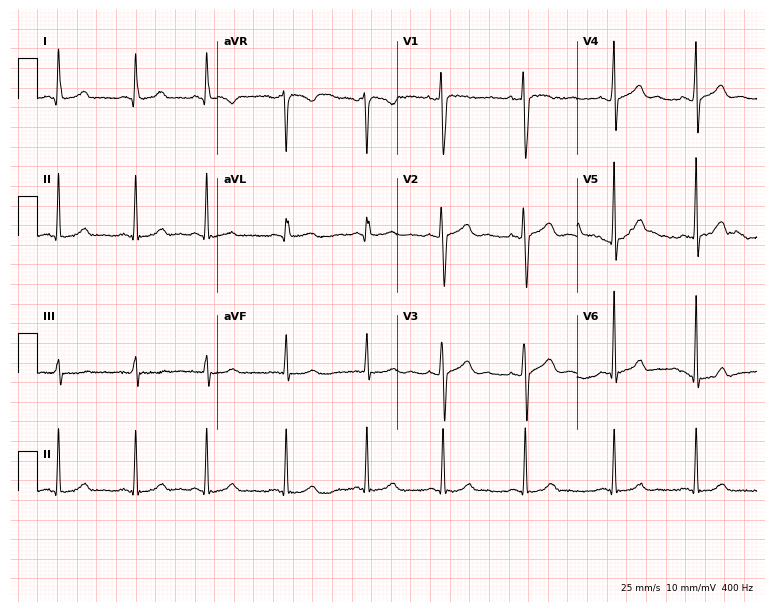
Standard 12-lead ECG recorded from a woman, 22 years old. Read as a normal ECG.